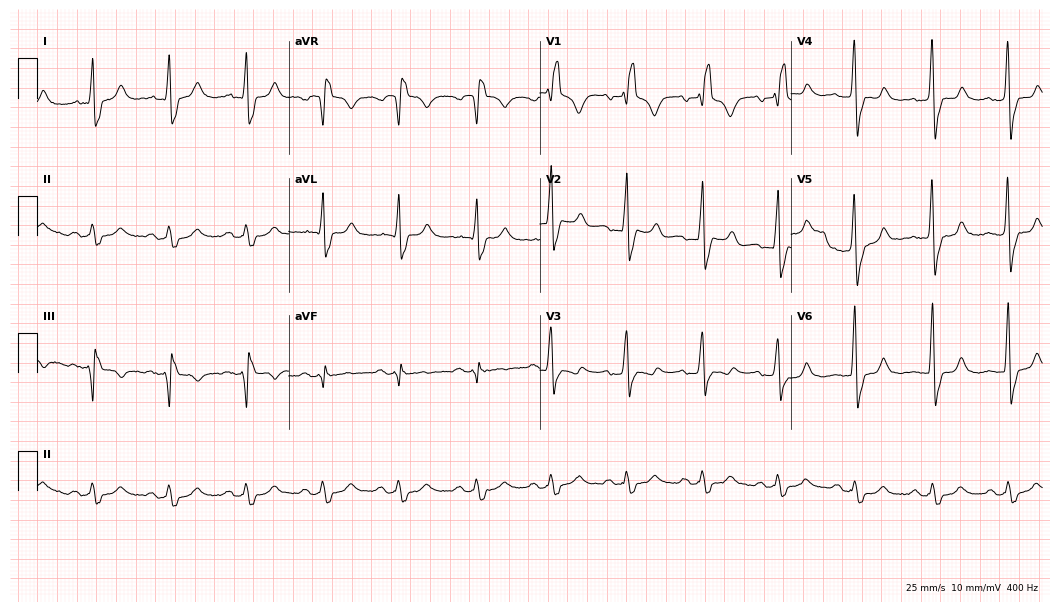
ECG — a man, 52 years old. Findings include right bundle branch block (RBBB).